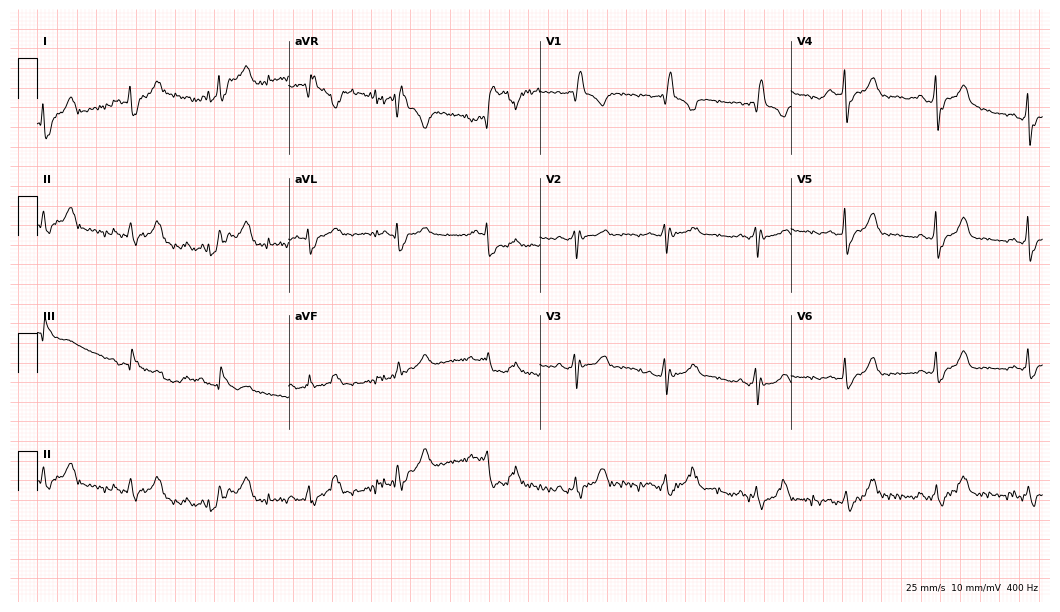
Electrocardiogram, a 68-year-old woman. Interpretation includes right bundle branch block.